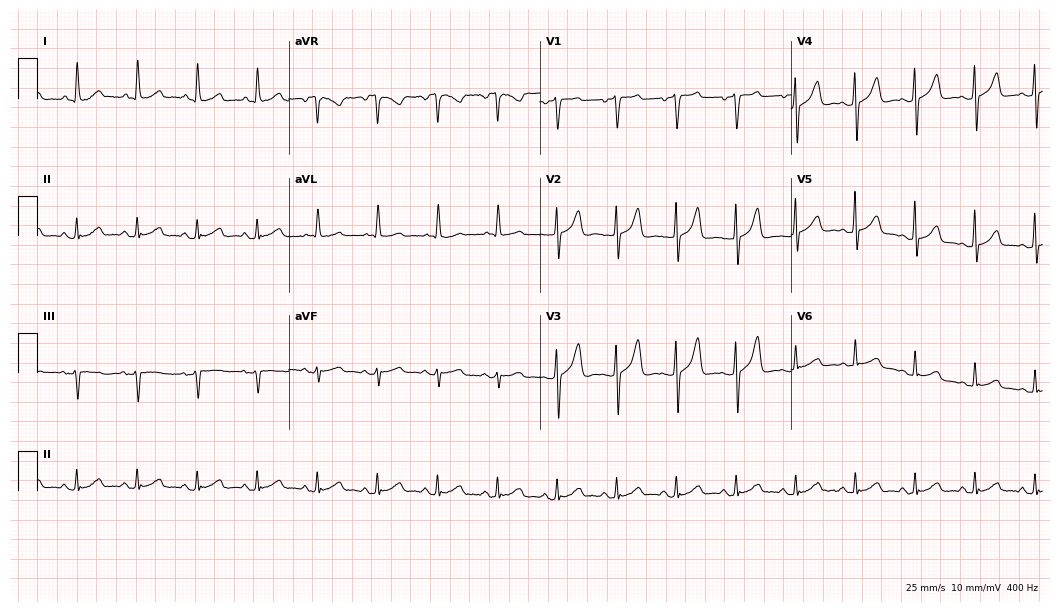
ECG (10.2-second recording at 400 Hz) — a female patient, 64 years old. Labelled as a normal ECG.